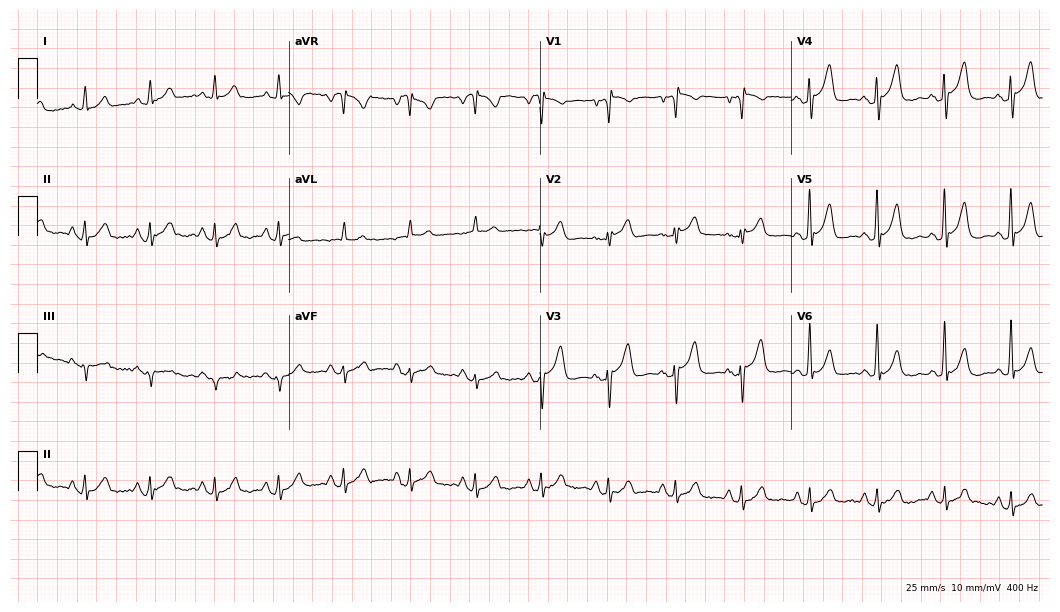
Electrocardiogram (10.2-second recording at 400 Hz), a 66-year-old man. Overall reading on record: normal ECG.